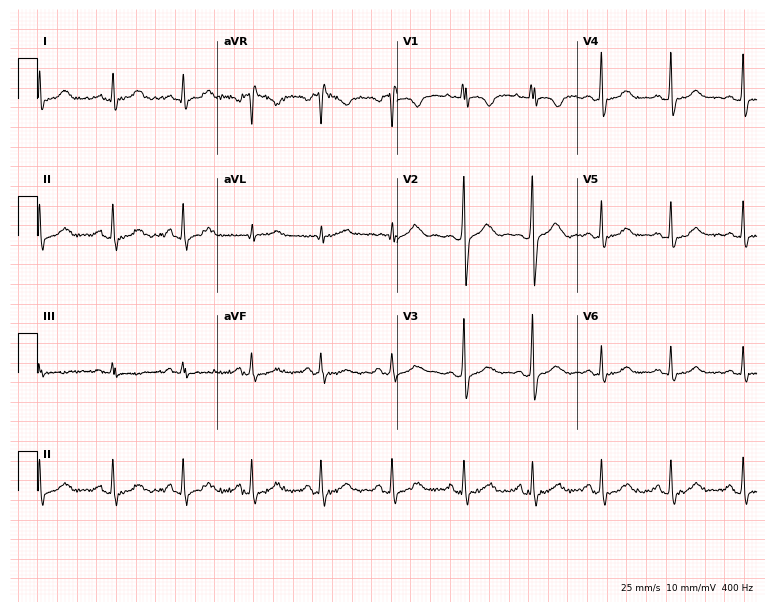
ECG — a woman, 31 years old. Screened for six findings — first-degree AV block, right bundle branch block, left bundle branch block, sinus bradycardia, atrial fibrillation, sinus tachycardia — none is recorded.